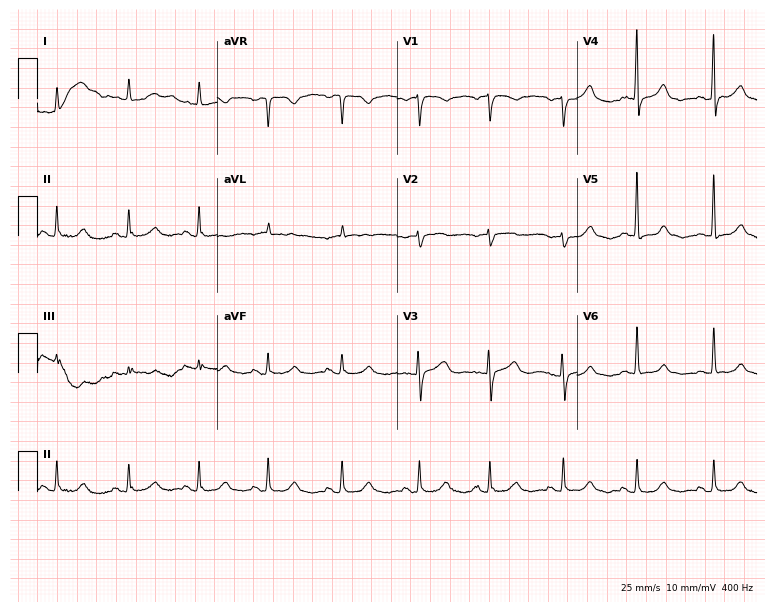
Electrocardiogram, a 70-year-old woman. Overall reading on record: normal ECG.